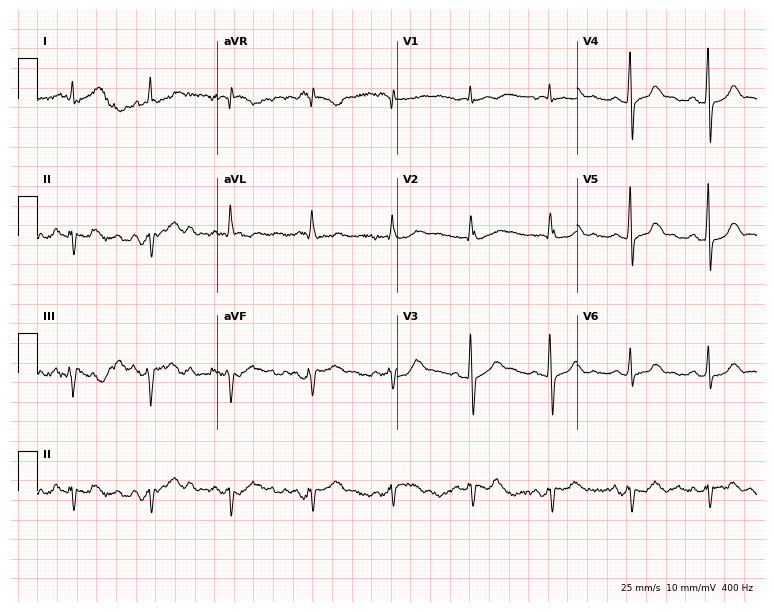
Electrocardiogram, a 66-year-old woman. Of the six screened findings (first-degree AV block, right bundle branch block, left bundle branch block, sinus bradycardia, atrial fibrillation, sinus tachycardia), none is recorded.